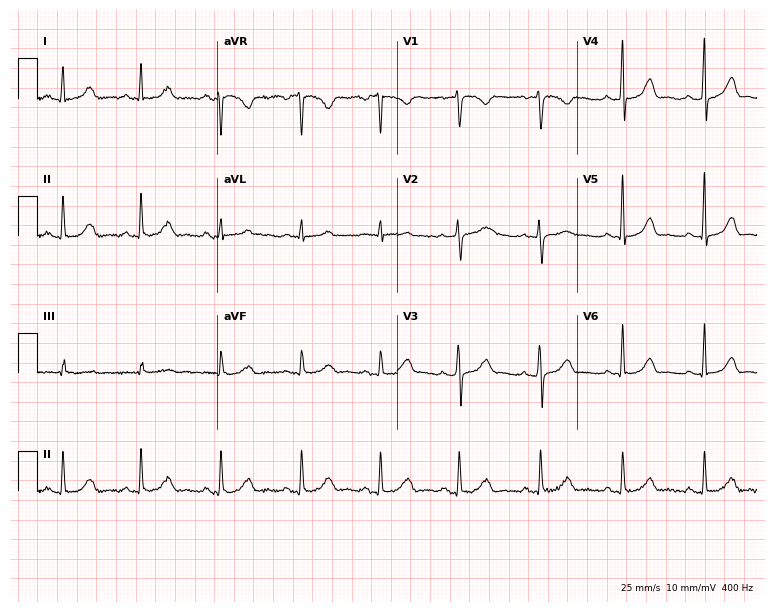
Standard 12-lead ECG recorded from a woman, 41 years old (7.3-second recording at 400 Hz). None of these six findings is recorded: first-degree AV block, right bundle branch block, left bundle branch block, sinus bradycardia, atrial fibrillation, sinus tachycardia.